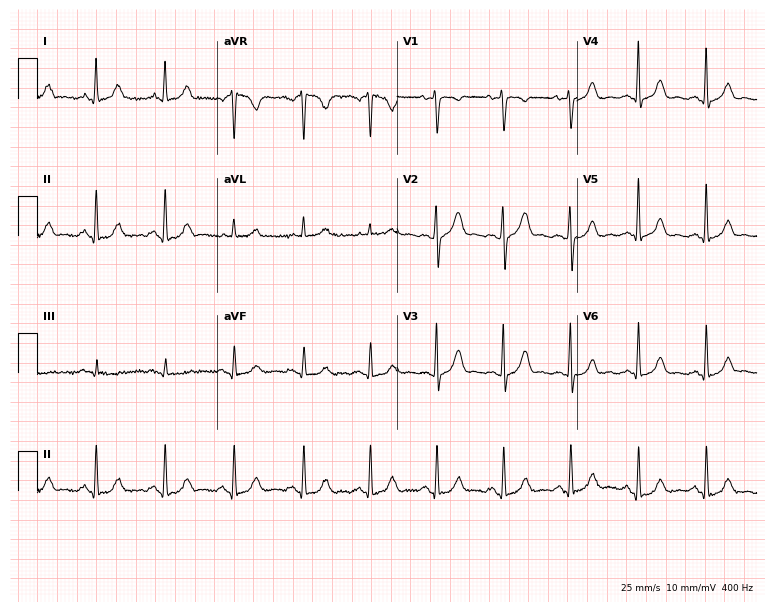
Standard 12-lead ECG recorded from a 38-year-old female patient. None of these six findings is recorded: first-degree AV block, right bundle branch block (RBBB), left bundle branch block (LBBB), sinus bradycardia, atrial fibrillation (AF), sinus tachycardia. Only these six findings were labelled.